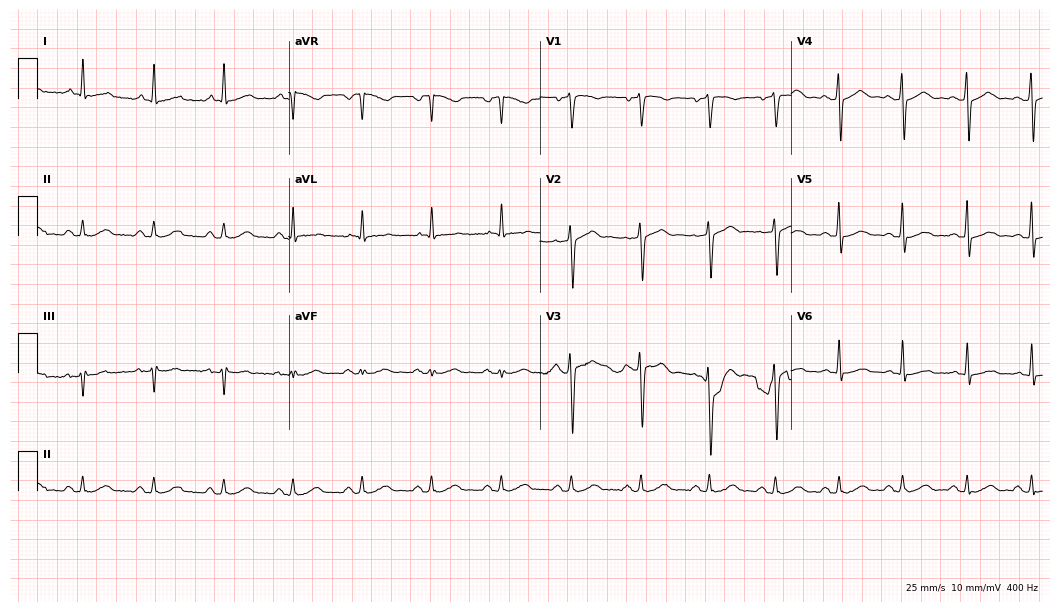
Resting 12-lead electrocardiogram. Patient: a male, 56 years old. Read as a normal ECG.